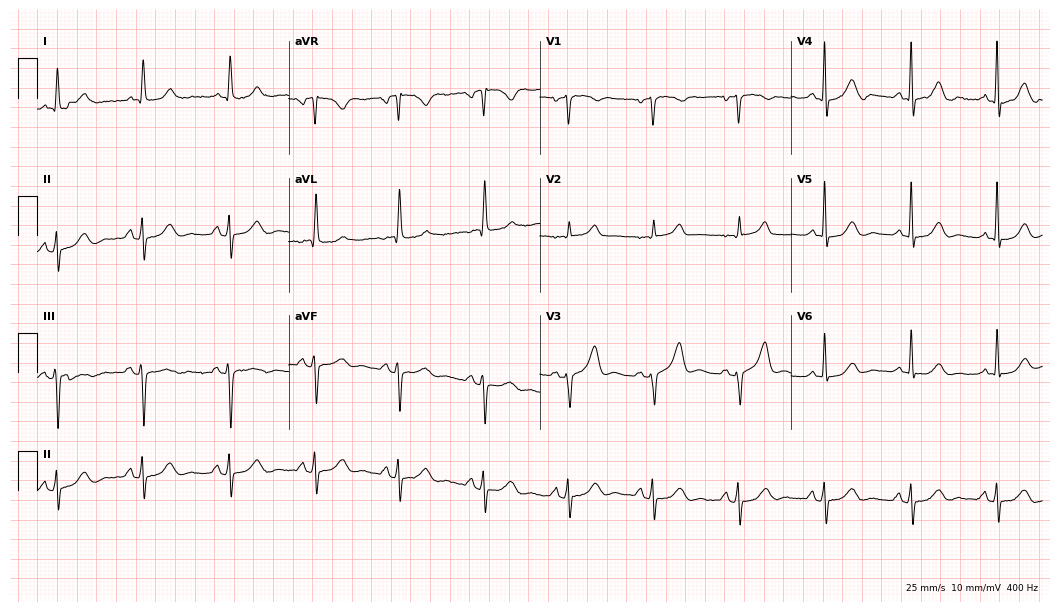
Standard 12-lead ECG recorded from an 84-year-old female. None of these six findings is recorded: first-degree AV block, right bundle branch block, left bundle branch block, sinus bradycardia, atrial fibrillation, sinus tachycardia. Findings outside these six are not listed.